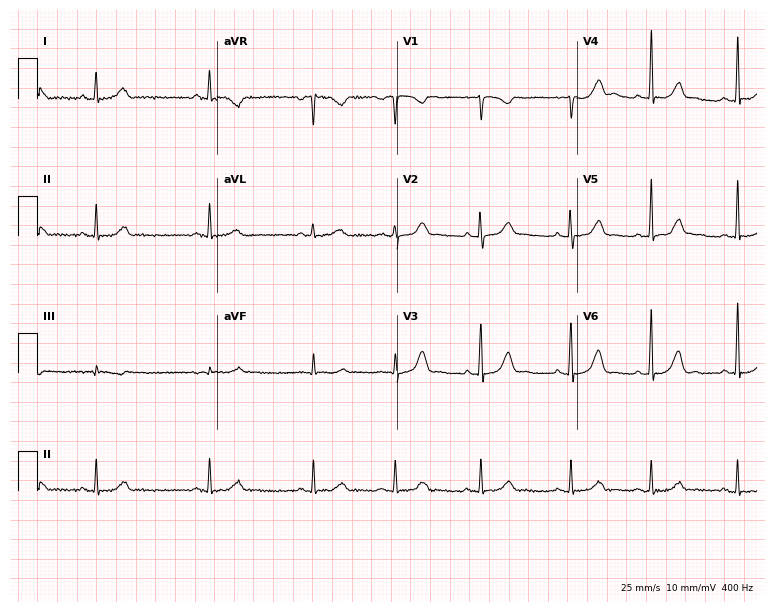
12-lead ECG from a female, 25 years old. No first-degree AV block, right bundle branch block, left bundle branch block, sinus bradycardia, atrial fibrillation or sinus tachycardia recorded for this tracing.